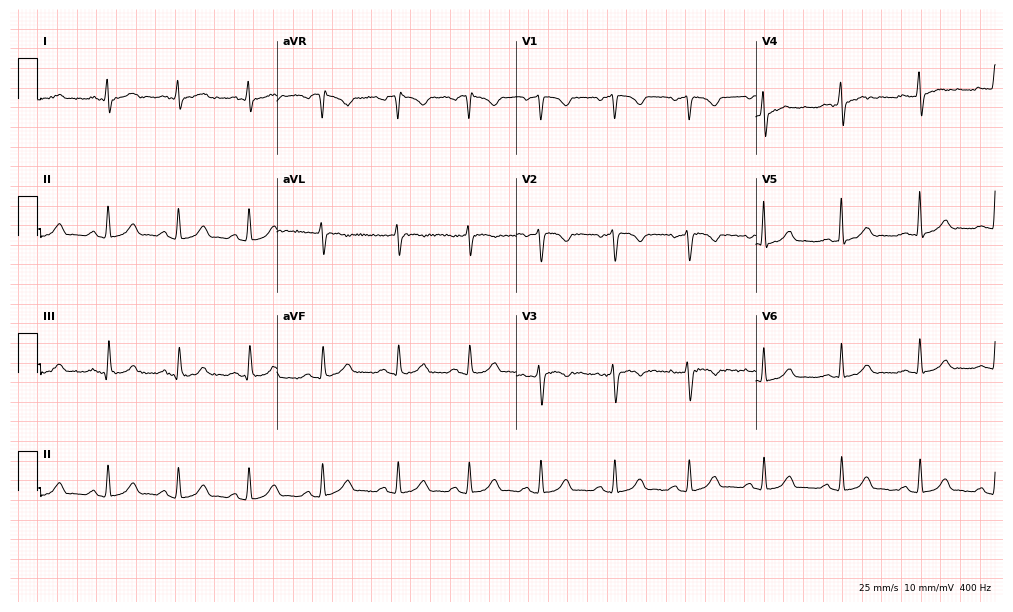
Standard 12-lead ECG recorded from a 28-year-old female (9.8-second recording at 400 Hz). Read as a normal ECG.